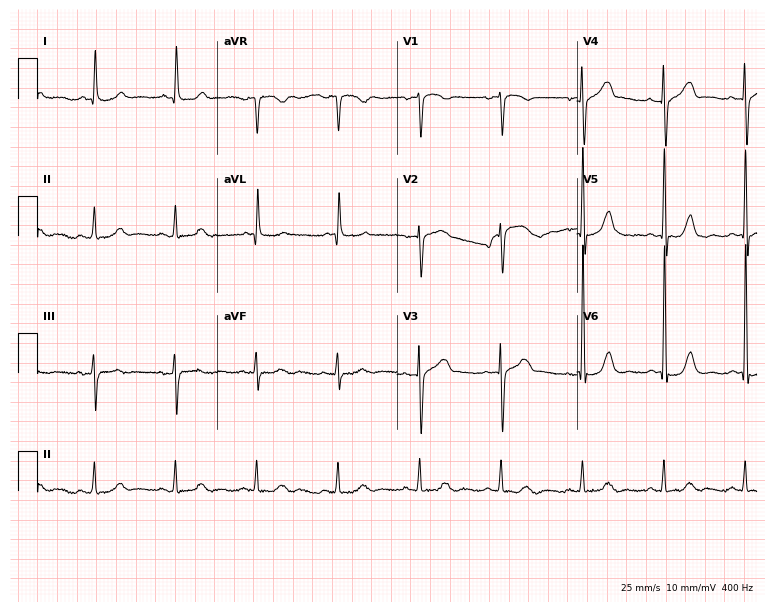
ECG (7.3-second recording at 400 Hz) — an 80-year-old male. Labelled as a normal ECG.